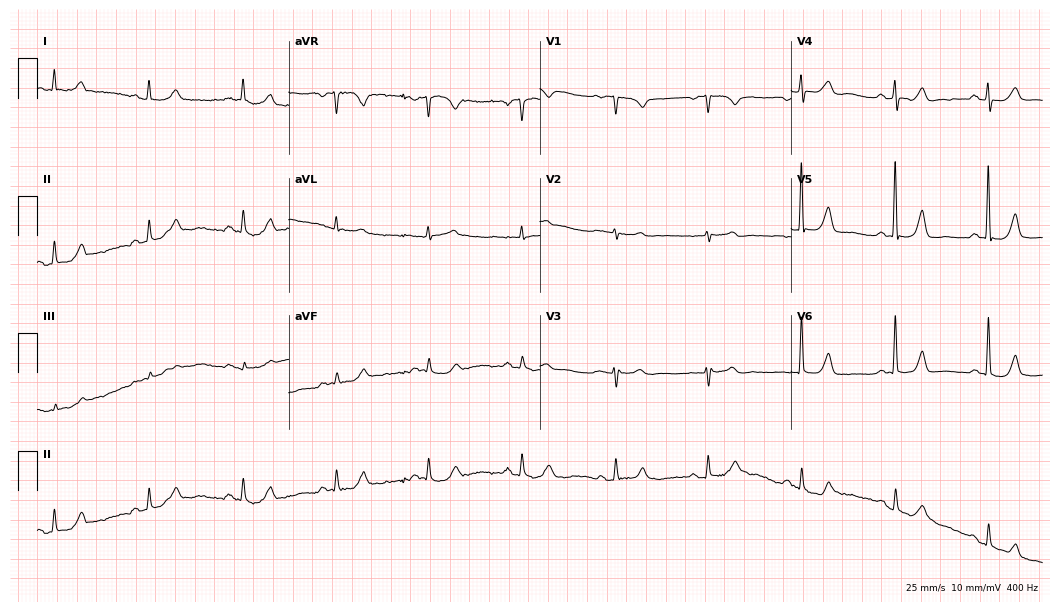
Standard 12-lead ECG recorded from a woman, 76 years old. None of these six findings is recorded: first-degree AV block, right bundle branch block, left bundle branch block, sinus bradycardia, atrial fibrillation, sinus tachycardia.